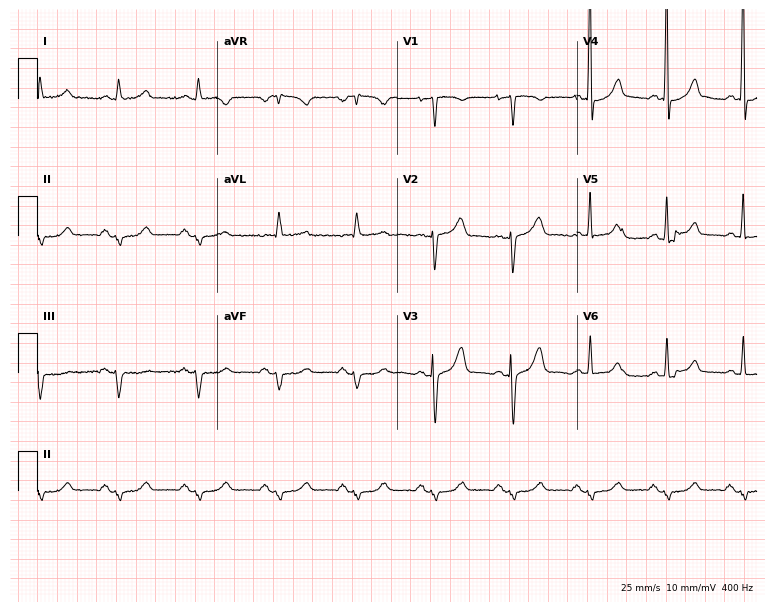
Standard 12-lead ECG recorded from a 71-year-old woman. None of these six findings is recorded: first-degree AV block, right bundle branch block, left bundle branch block, sinus bradycardia, atrial fibrillation, sinus tachycardia. Findings outside these six are not listed.